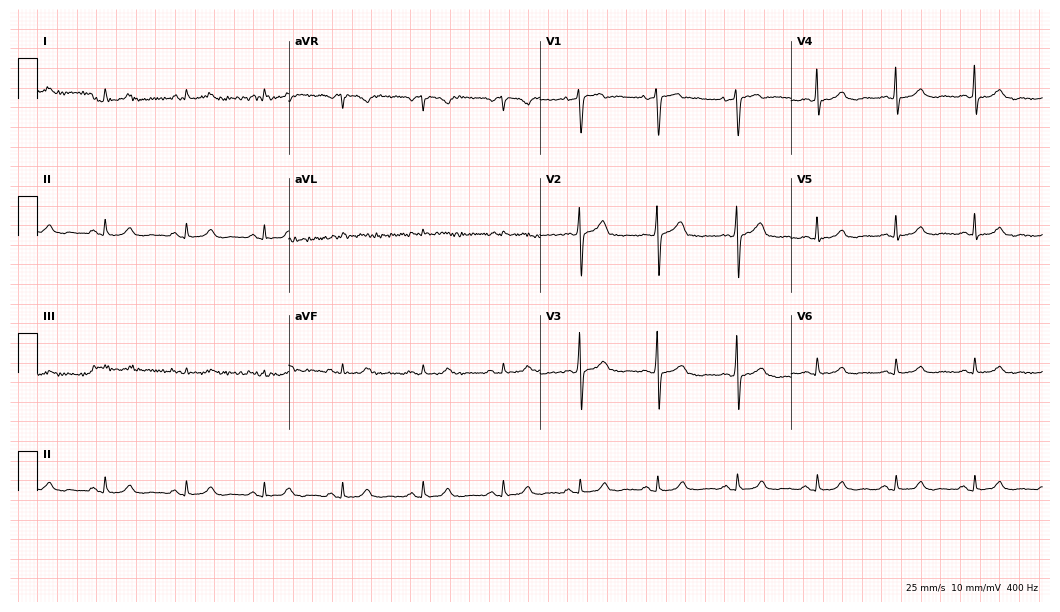
ECG (10.2-second recording at 400 Hz) — a female, 42 years old. Labelled as a normal ECG.